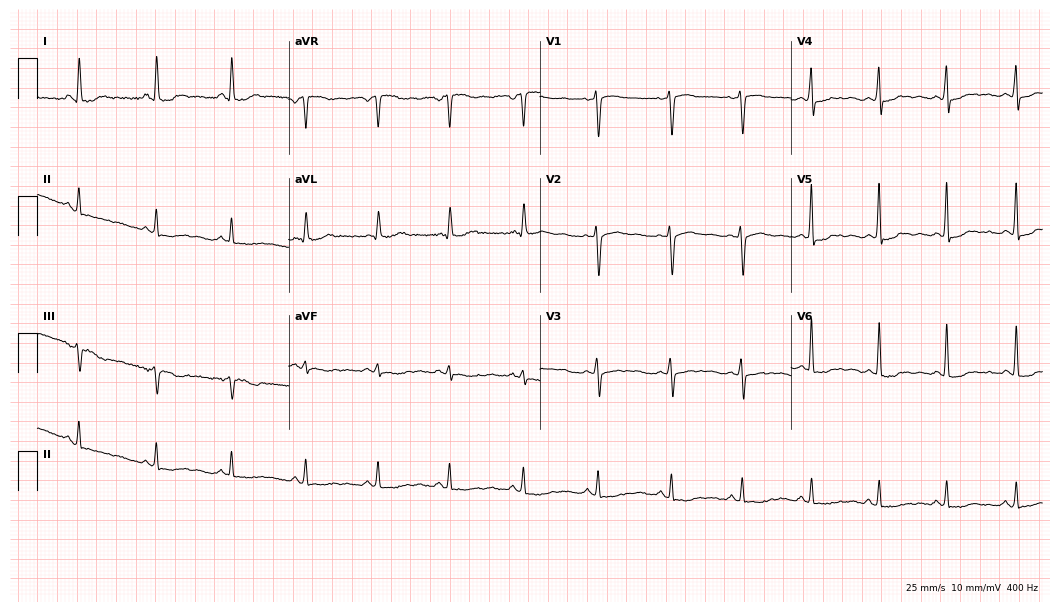
12-lead ECG from a female patient, 45 years old. No first-degree AV block, right bundle branch block, left bundle branch block, sinus bradycardia, atrial fibrillation or sinus tachycardia recorded for this tracing. Only these six findings were labelled.